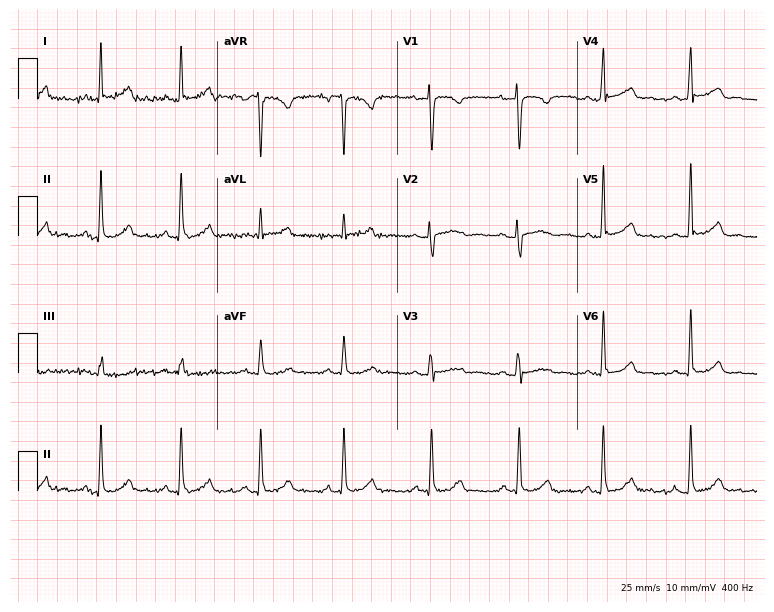
Standard 12-lead ECG recorded from a 45-year-old female patient (7.3-second recording at 400 Hz). Read as a normal ECG.